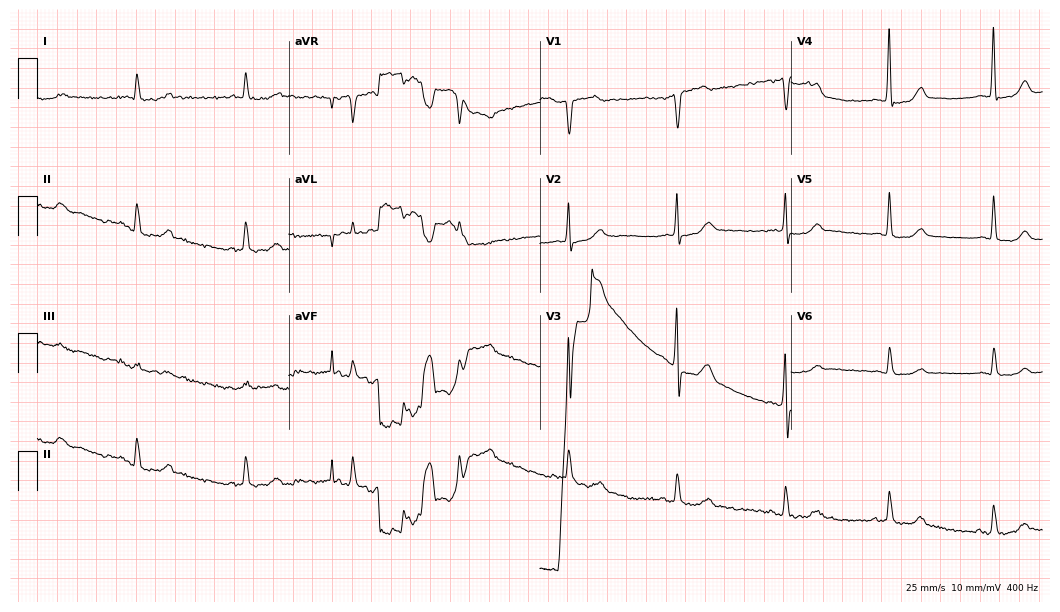
ECG — a male, 73 years old. Screened for six findings — first-degree AV block, right bundle branch block, left bundle branch block, sinus bradycardia, atrial fibrillation, sinus tachycardia — none is recorded.